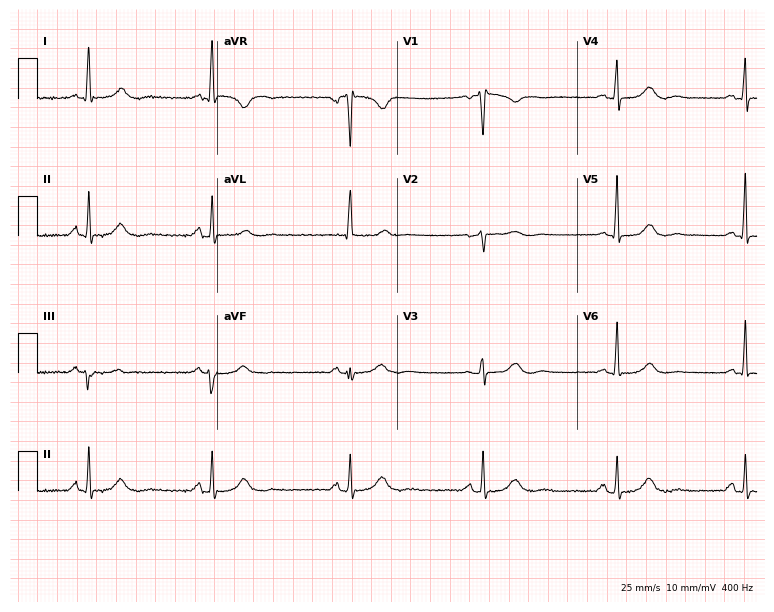
12-lead ECG from a 65-year-old female patient. Shows sinus bradycardia (a sinus rate of 50 beats per minute or less).